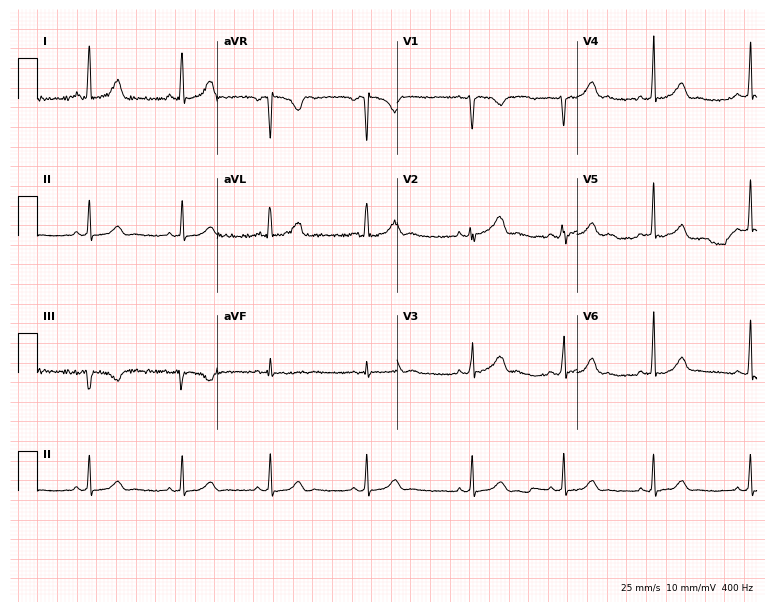
Electrocardiogram, a woman, 30 years old. Overall reading on record: normal ECG.